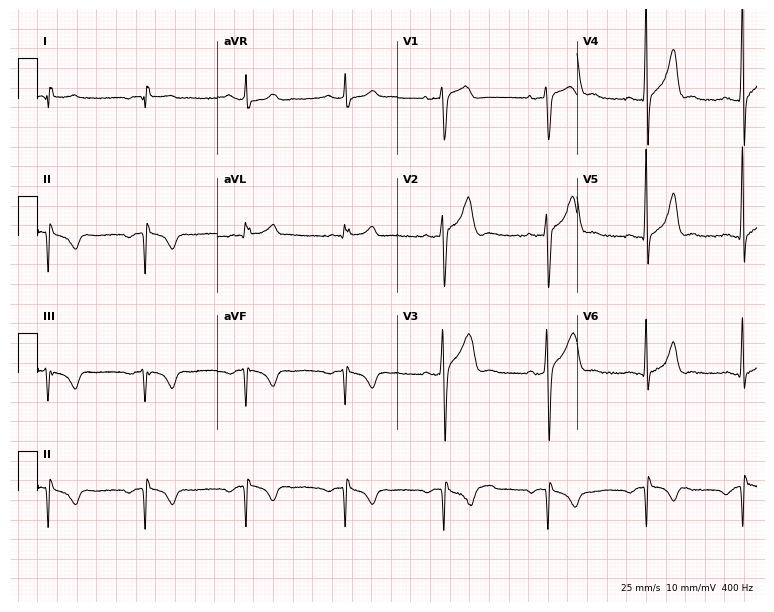
Electrocardiogram, a 27-year-old male. Of the six screened findings (first-degree AV block, right bundle branch block (RBBB), left bundle branch block (LBBB), sinus bradycardia, atrial fibrillation (AF), sinus tachycardia), none is recorded. Only these six findings were labelled.